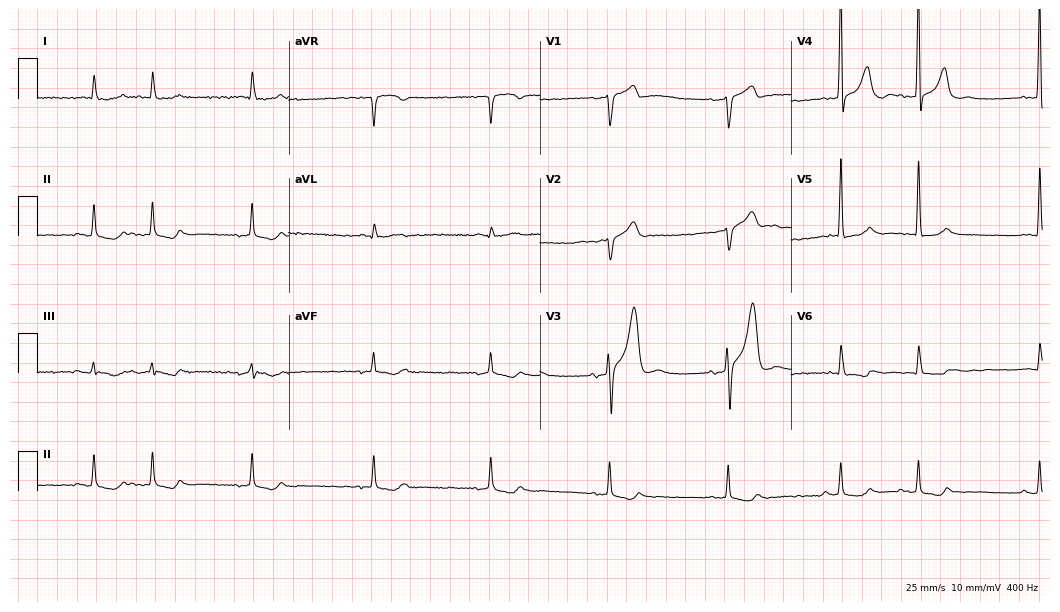
Resting 12-lead electrocardiogram. Patient: a male, 79 years old. None of these six findings is recorded: first-degree AV block, right bundle branch block, left bundle branch block, sinus bradycardia, atrial fibrillation, sinus tachycardia. Findings outside these six are not listed.